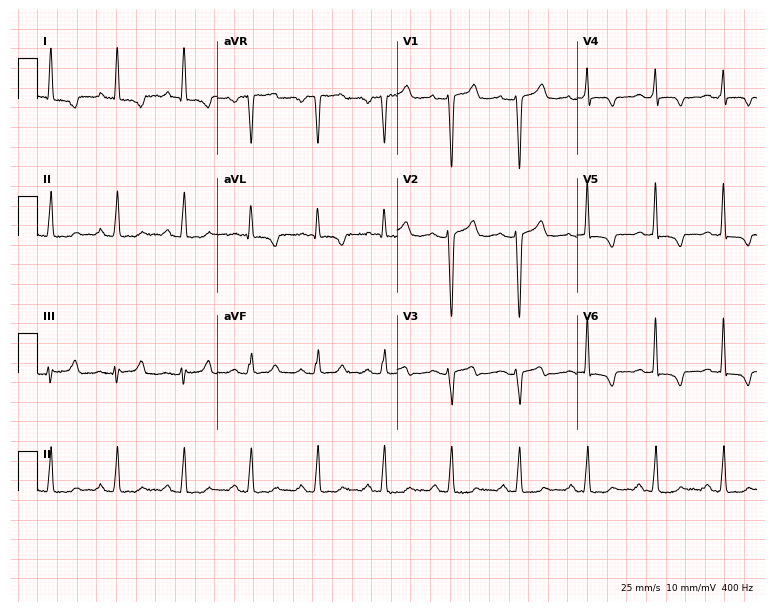
12-lead ECG from a 37-year-old female patient (7.3-second recording at 400 Hz). No first-degree AV block, right bundle branch block, left bundle branch block, sinus bradycardia, atrial fibrillation or sinus tachycardia recorded for this tracing. Findings outside these six are not listed.